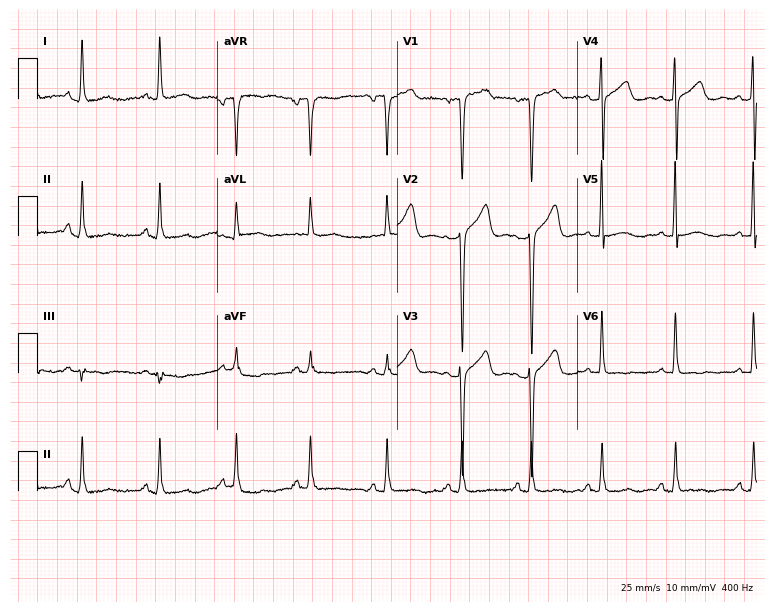
Resting 12-lead electrocardiogram (7.3-second recording at 400 Hz). Patient: a 54-year-old female. None of these six findings is recorded: first-degree AV block, right bundle branch block, left bundle branch block, sinus bradycardia, atrial fibrillation, sinus tachycardia. Other findings, if any, are not listed.